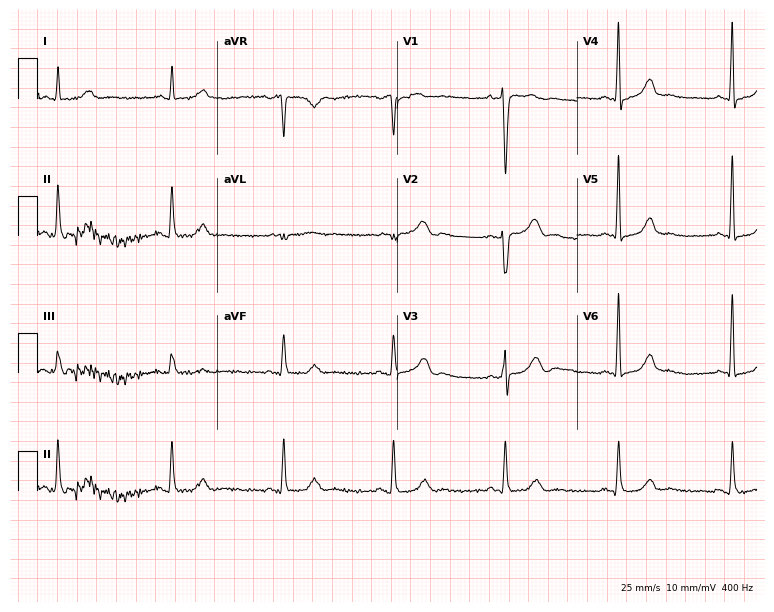
Resting 12-lead electrocardiogram (7.3-second recording at 400 Hz). Patient: a female, 50 years old. None of these six findings is recorded: first-degree AV block, right bundle branch block, left bundle branch block, sinus bradycardia, atrial fibrillation, sinus tachycardia. Other findings, if any, are not listed.